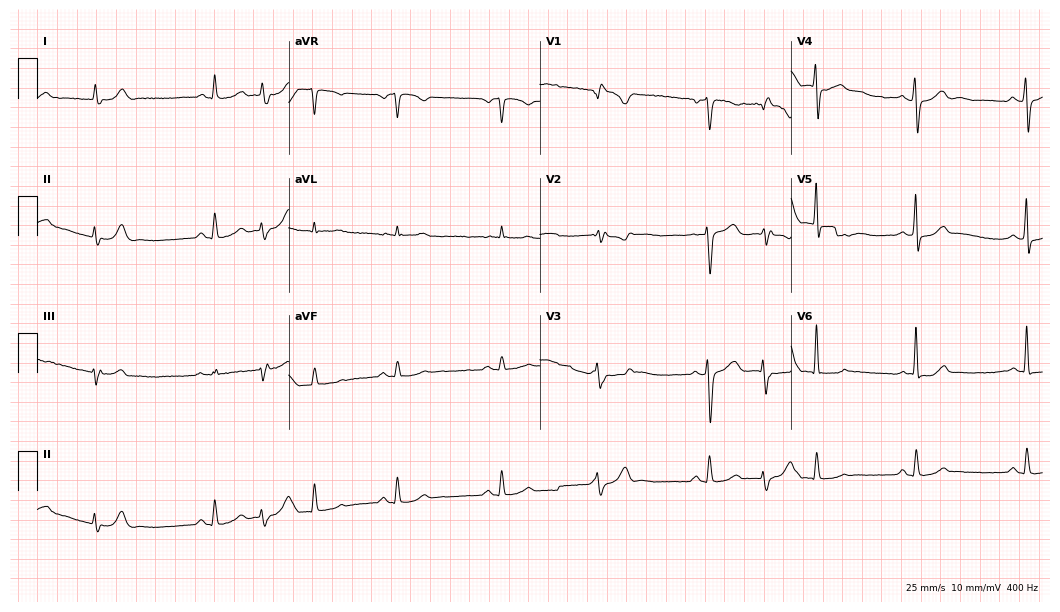
12-lead ECG from a 46-year-old female. Screened for six findings — first-degree AV block, right bundle branch block, left bundle branch block, sinus bradycardia, atrial fibrillation, sinus tachycardia — none is recorded.